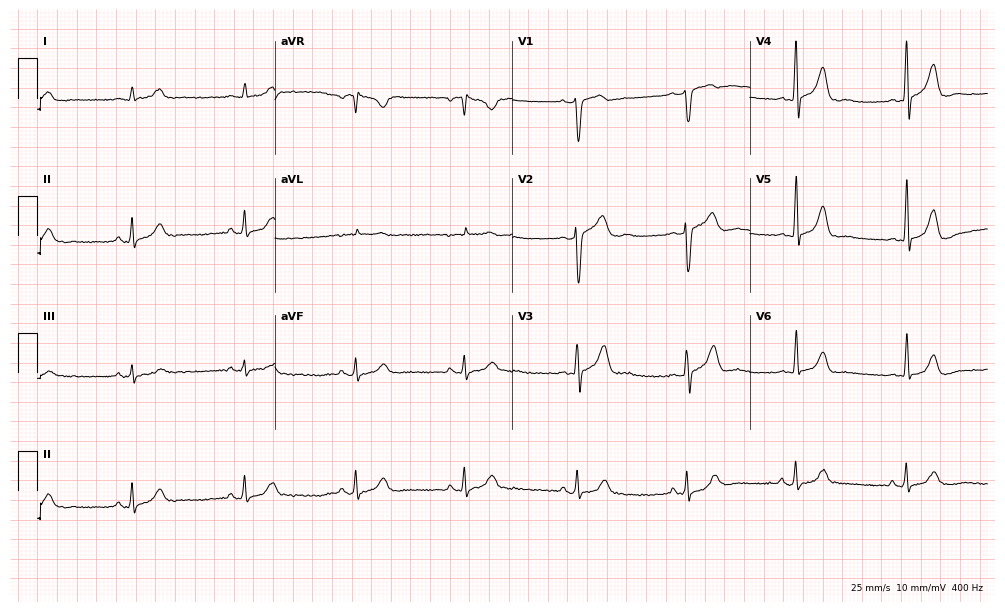
12-lead ECG from a 63-year-old male patient. Labelled as a normal ECG.